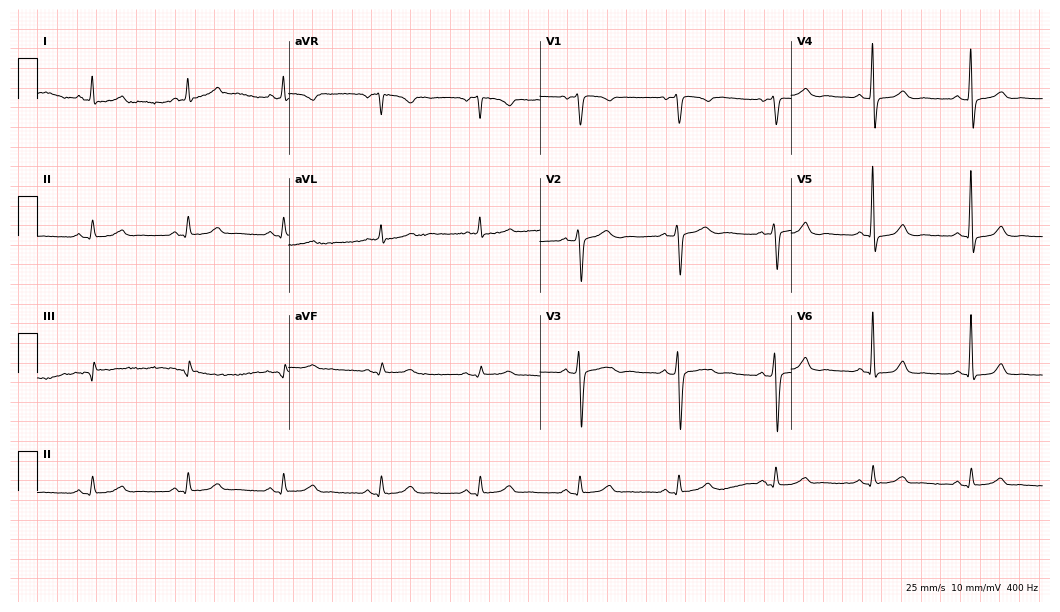
Electrocardiogram (10.2-second recording at 400 Hz), a man, 52 years old. Overall reading on record: normal ECG.